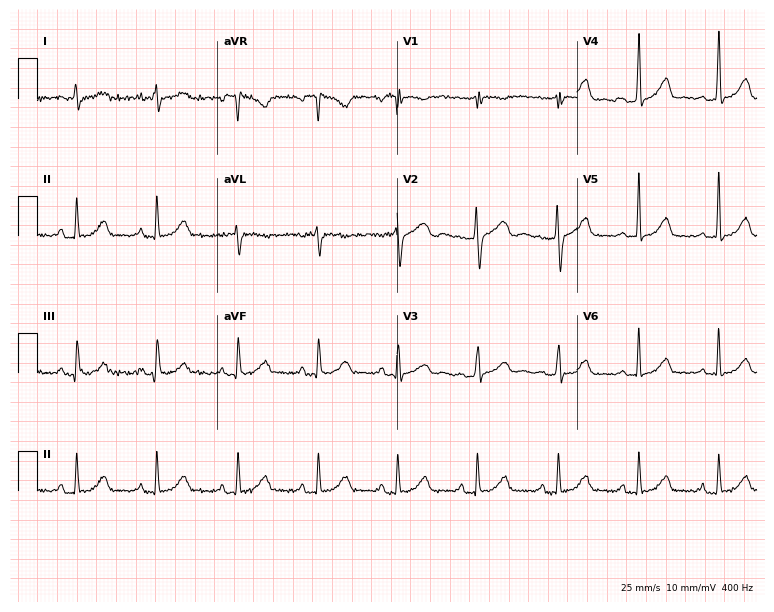
Electrocardiogram, a female, 54 years old. Overall reading on record: normal ECG.